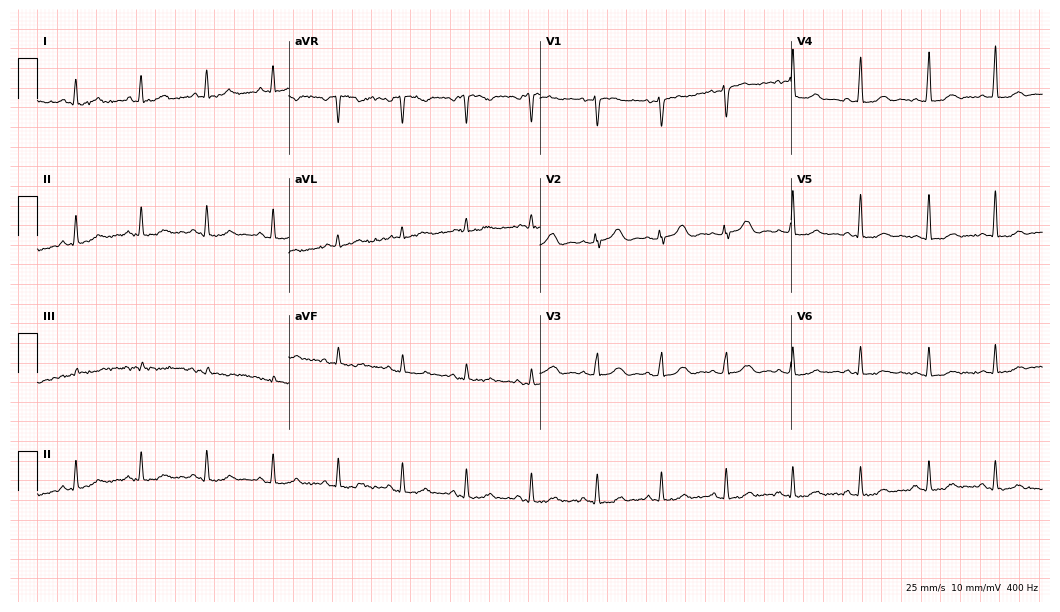
Electrocardiogram, a woman, 48 years old. Of the six screened findings (first-degree AV block, right bundle branch block (RBBB), left bundle branch block (LBBB), sinus bradycardia, atrial fibrillation (AF), sinus tachycardia), none is recorded.